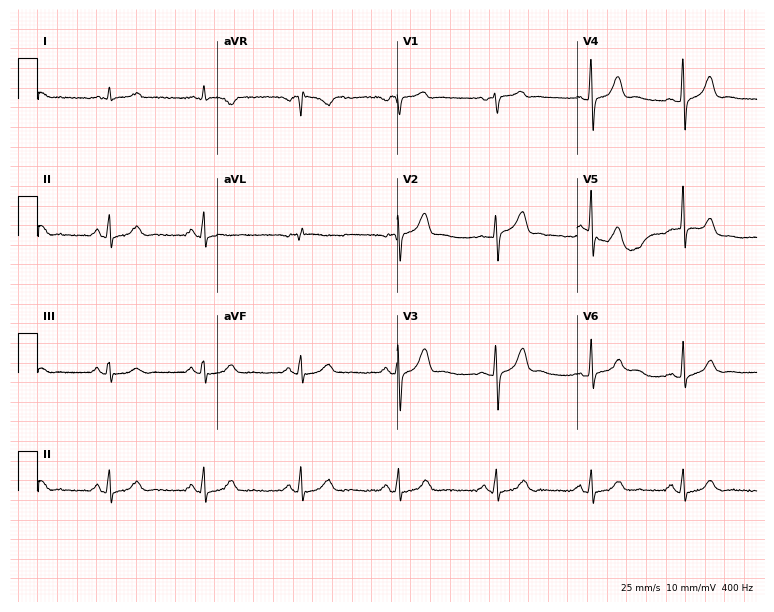
Standard 12-lead ECG recorded from a male patient, 68 years old. Read as a normal ECG.